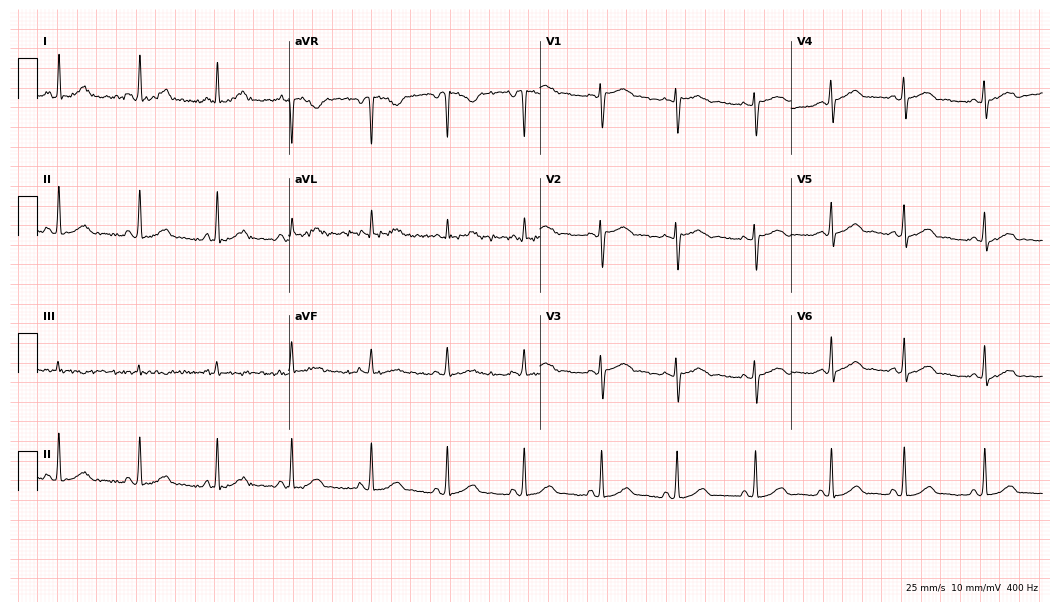
Electrocardiogram (10.2-second recording at 400 Hz), a woman, 32 years old. Overall reading on record: normal ECG.